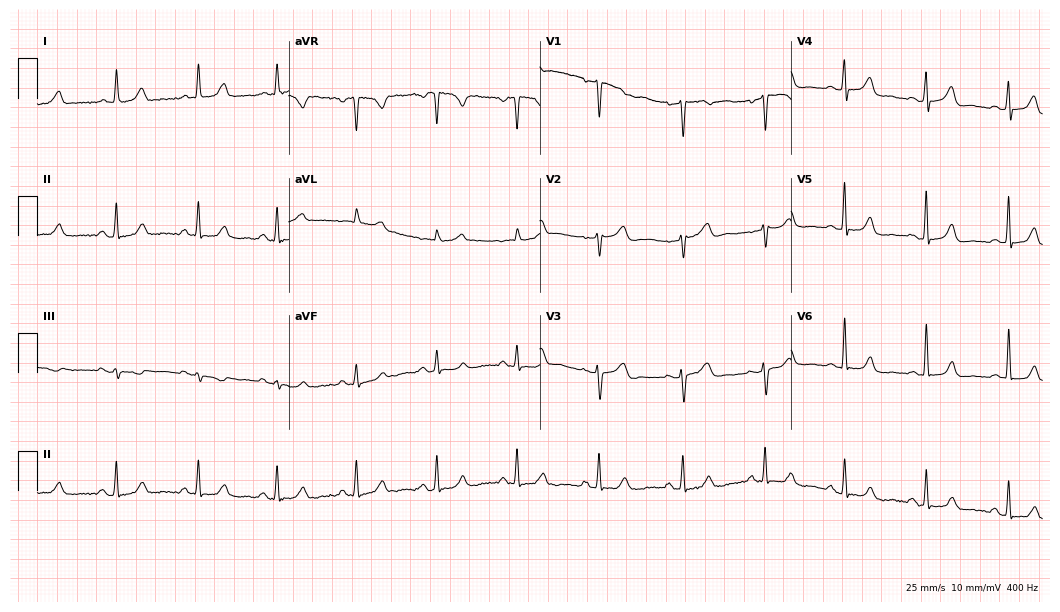
ECG — a 54-year-old woman. Screened for six findings — first-degree AV block, right bundle branch block, left bundle branch block, sinus bradycardia, atrial fibrillation, sinus tachycardia — none is recorded.